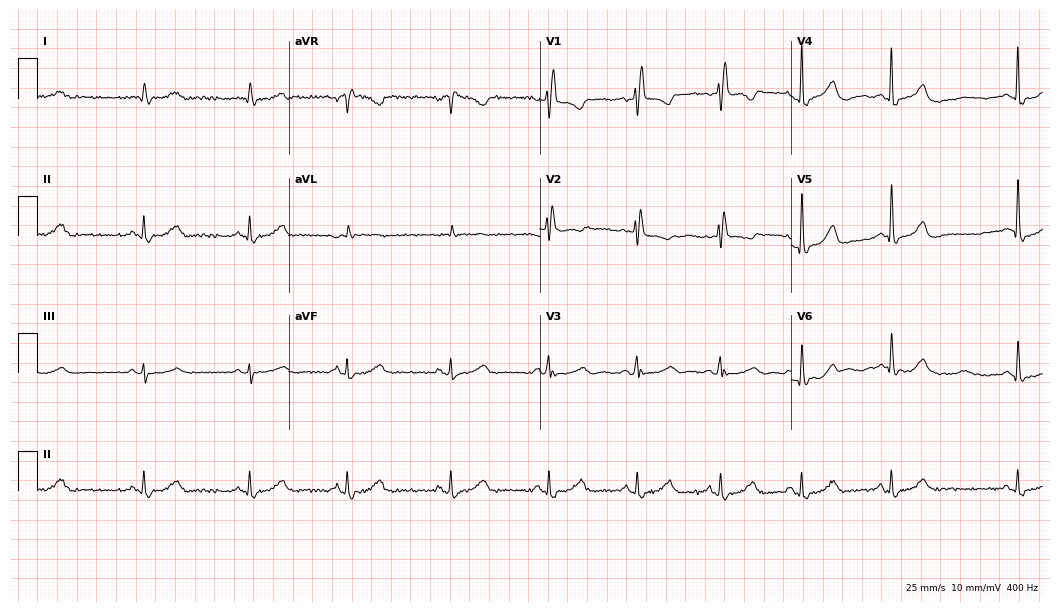
Electrocardiogram, a female patient, 80 years old. Interpretation includes right bundle branch block.